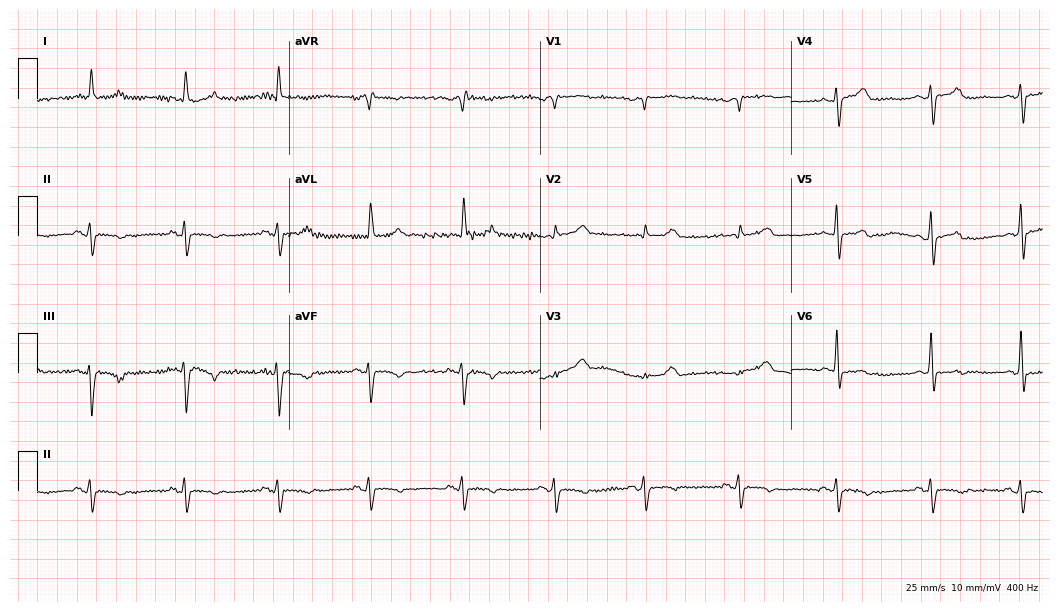
Resting 12-lead electrocardiogram. Patient: an 85-year-old female. None of these six findings is recorded: first-degree AV block, right bundle branch block (RBBB), left bundle branch block (LBBB), sinus bradycardia, atrial fibrillation (AF), sinus tachycardia. Other findings, if any, are not listed.